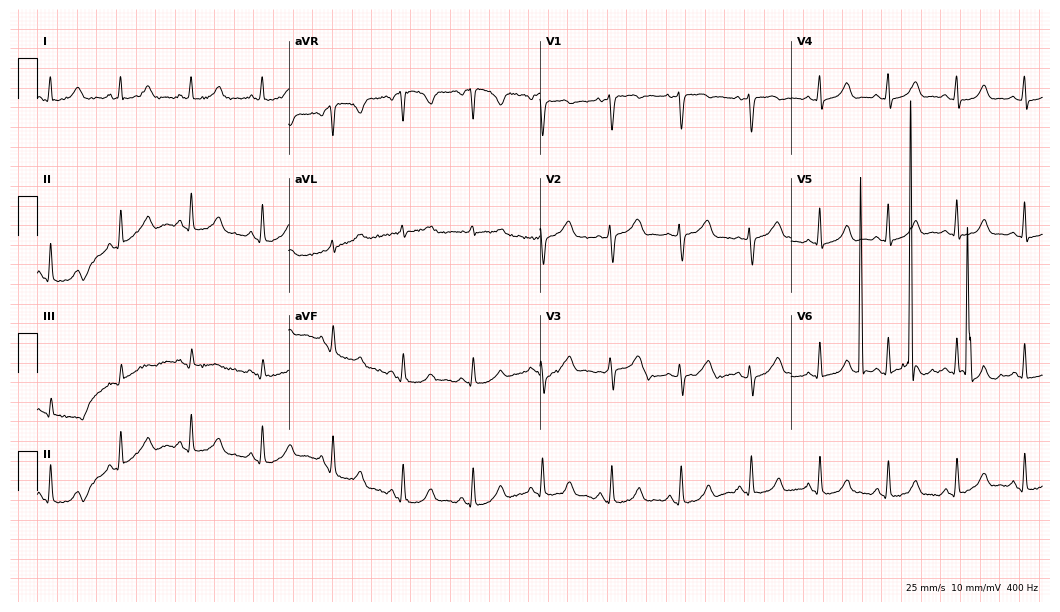
Standard 12-lead ECG recorded from a 38-year-old female patient (10.2-second recording at 400 Hz). Read as a normal ECG.